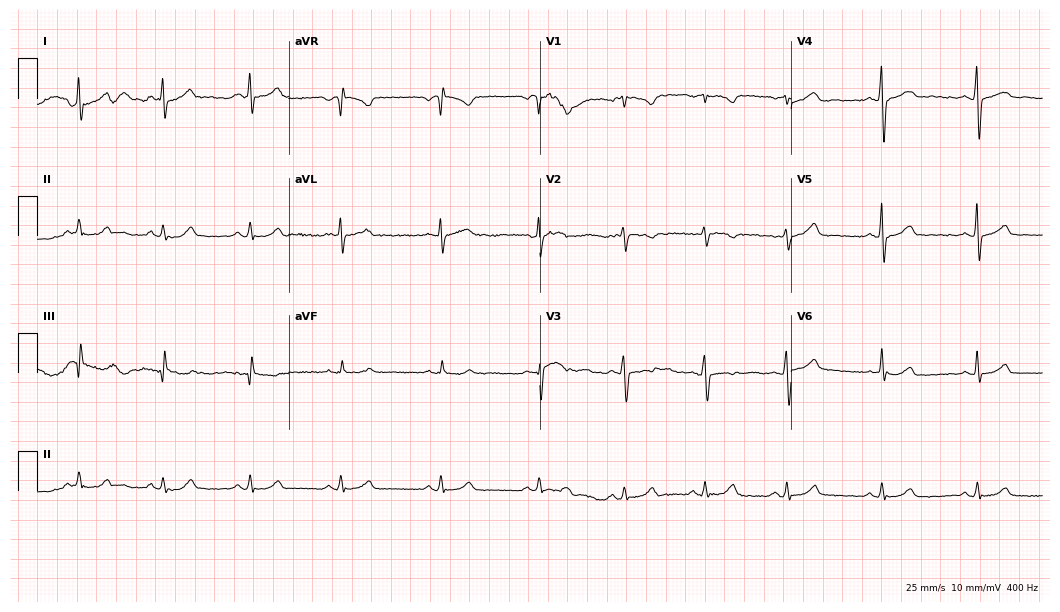
Resting 12-lead electrocardiogram (10.2-second recording at 400 Hz). Patient: a female, 43 years old. Read as a normal ECG.